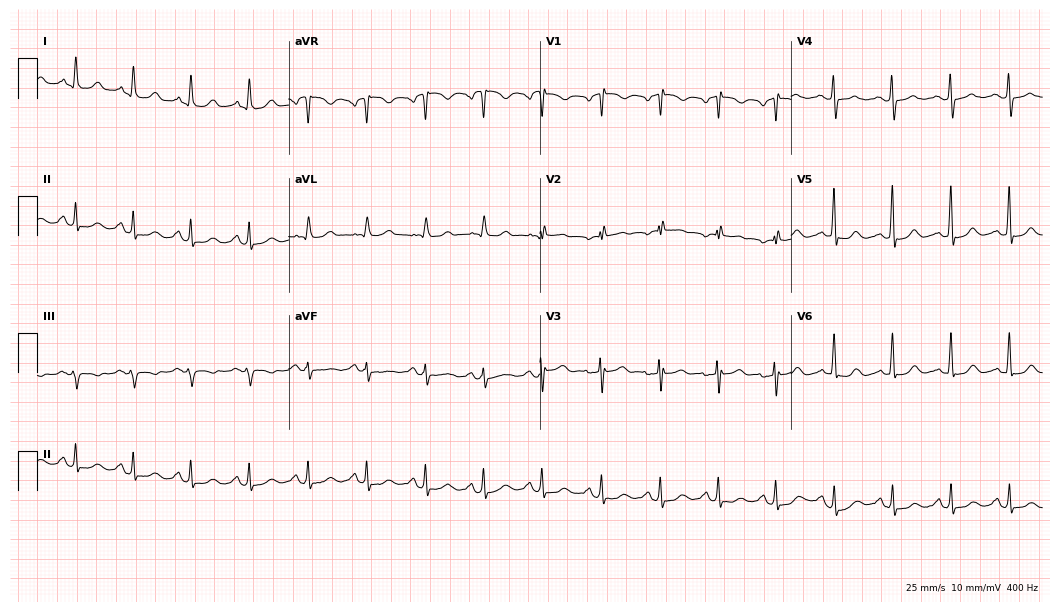
12-lead ECG (10.2-second recording at 400 Hz) from a 53-year-old woman. Screened for six findings — first-degree AV block, right bundle branch block, left bundle branch block, sinus bradycardia, atrial fibrillation, sinus tachycardia — none is recorded.